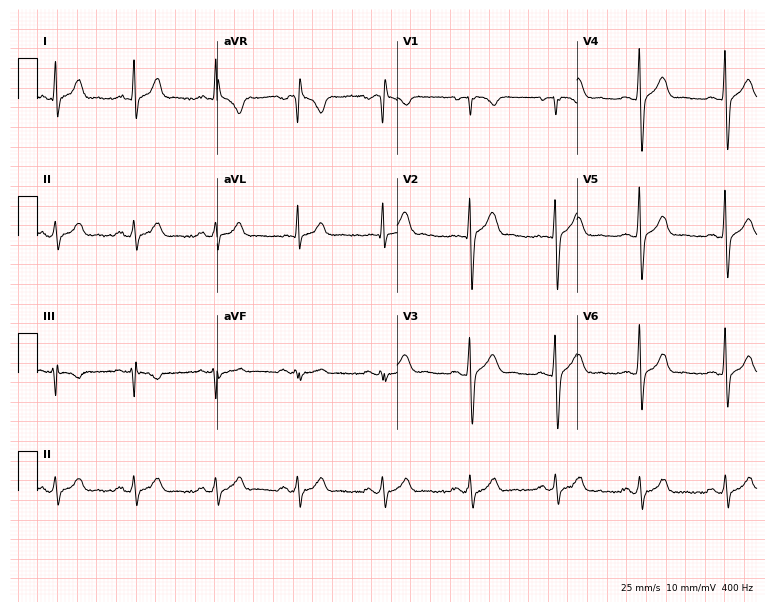
ECG — a 30-year-old male. Labelled as a normal ECG.